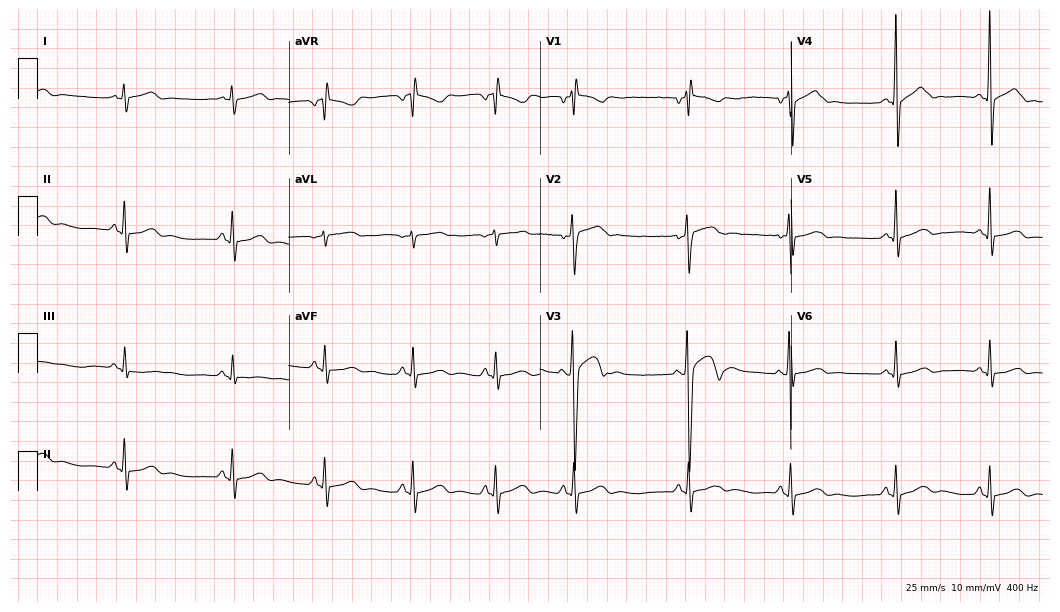
ECG (10.2-second recording at 400 Hz) — a 17-year-old man. Screened for six findings — first-degree AV block, right bundle branch block (RBBB), left bundle branch block (LBBB), sinus bradycardia, atrial fibrillation (AF), sinus tachycardia — none is recorded.